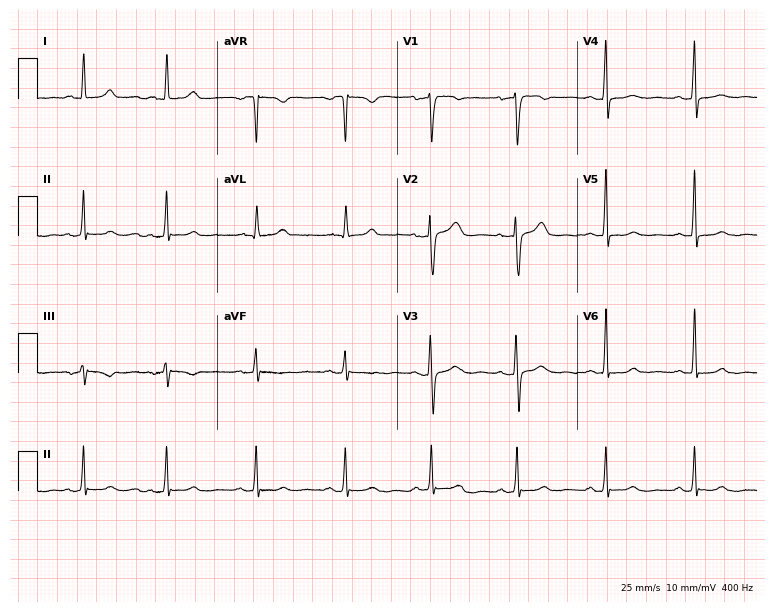
12-lead ECG from a 47-year-old female patient. Labelled as a normal ECG.